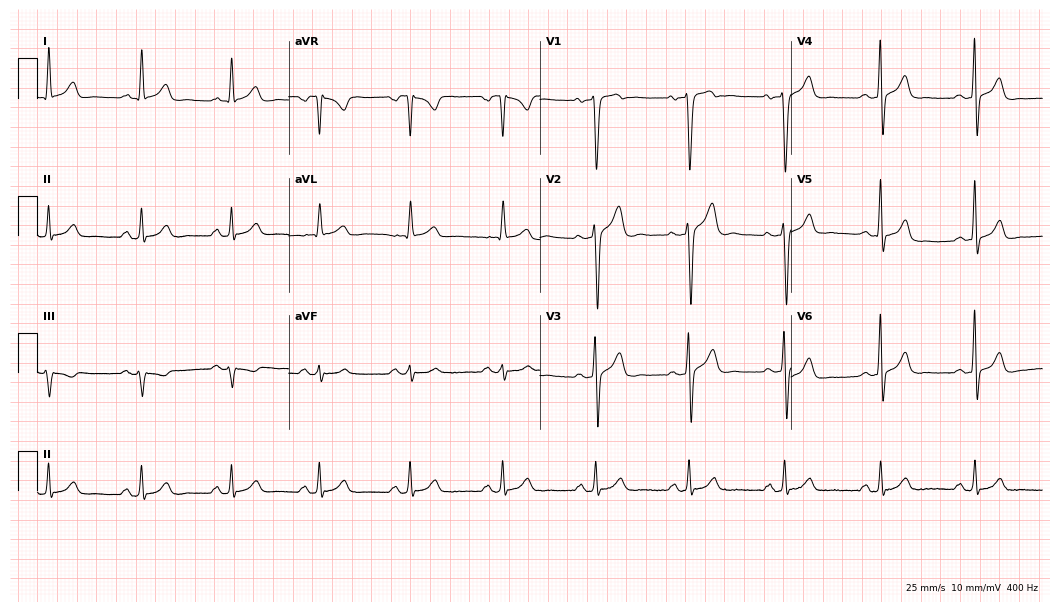
12-lead ECG from a 60-year-old man. Recorded interpretation: within normal limits.